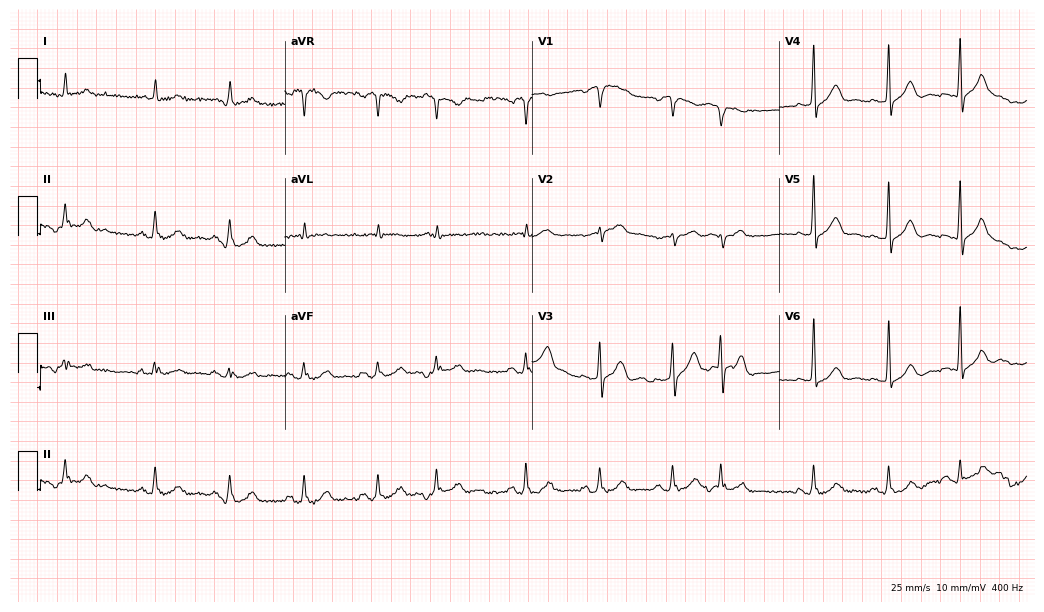
12-lead ECG from an 83-year-old male patient (10.1-second recording at 400 Hz). No first-degree AV block, right bundle branch block (RBBB), left bundle branch block (LBBB), sinus bradycardia, atrial fibrillation (AF) or sinus tachycardia recorded for this tracing.